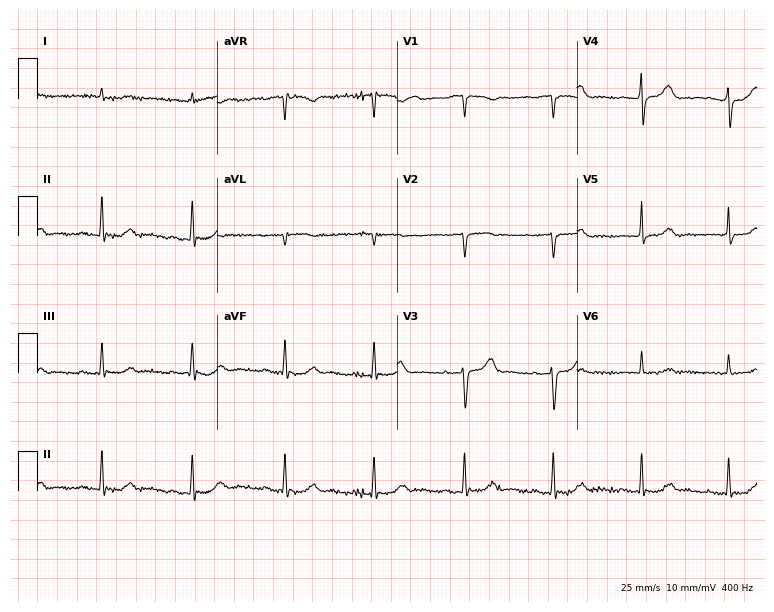
12-lead ECG from a 78-year-old male patient. Labelled as a normal ECG.